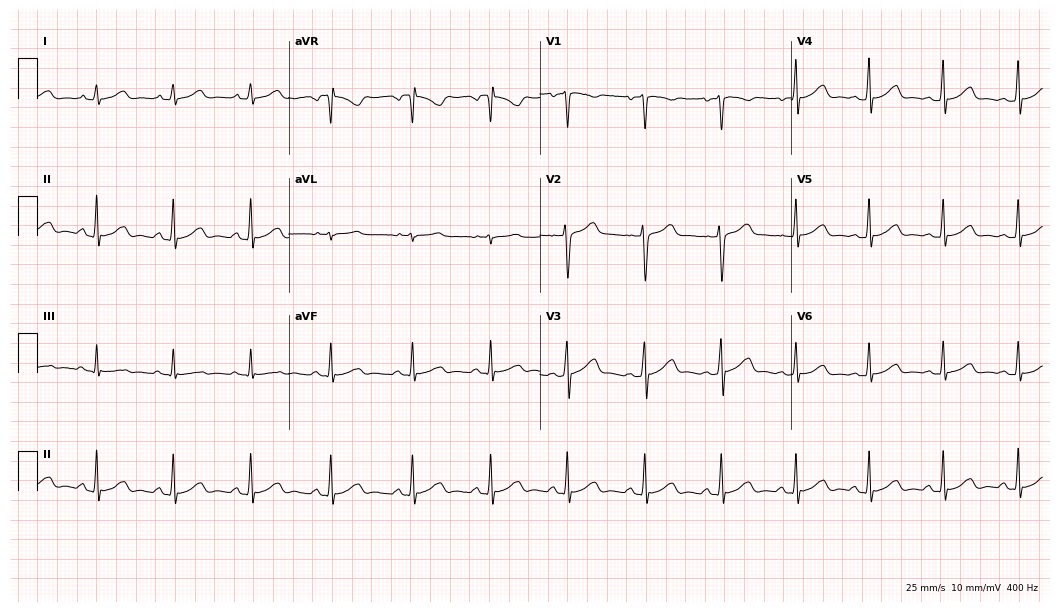
Resting 12-lead electrocardiogram. Patient: a female, 21 years old. Read as a normal ECG.